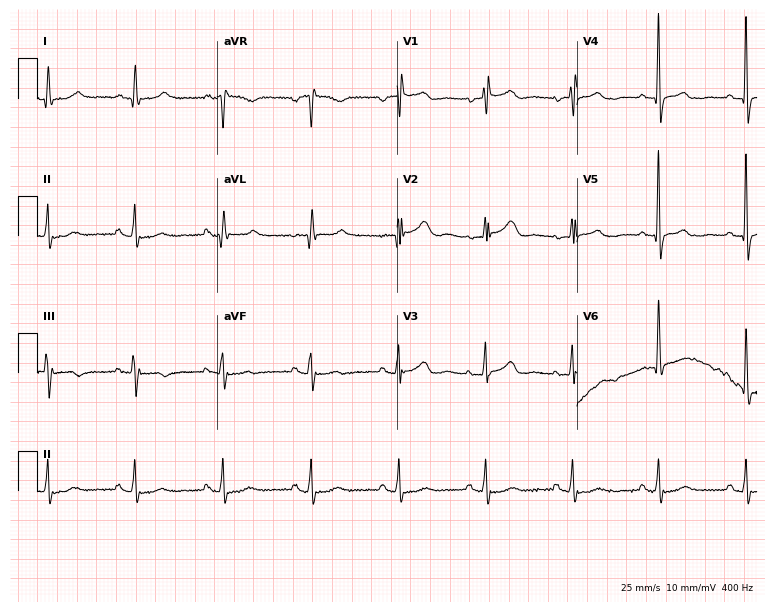
Resting 12-lead electrocardiogram. Patient: a 74-year-old female. Read as a normal ECG.